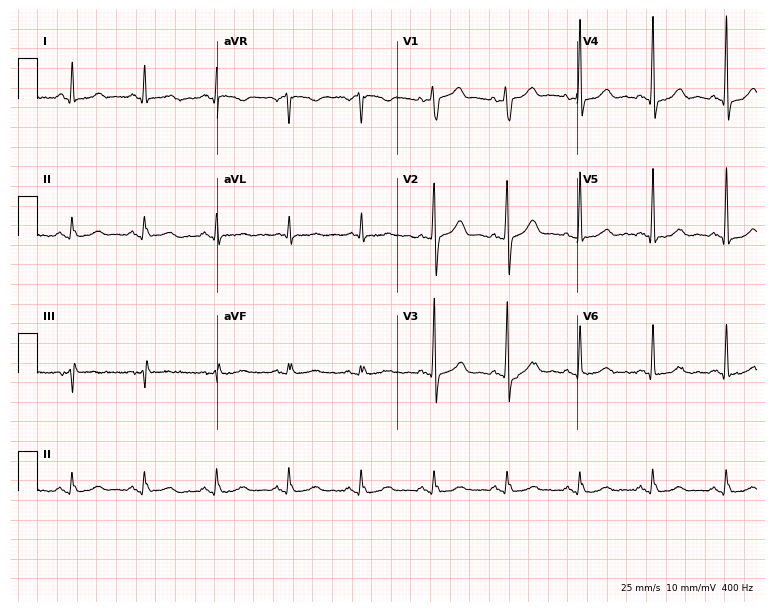
ECG (7.3-second recording at 400 Hz) — a male patient, 60 years old. Screened for six findings — first-degree AV block, right bundle branch block (RBBB), left bundle branch block (LBBB), sinus bradycardia, atrial fibrillation (AF), sinus tachycardia — none is recorded. Other findings, if any, are not listed.